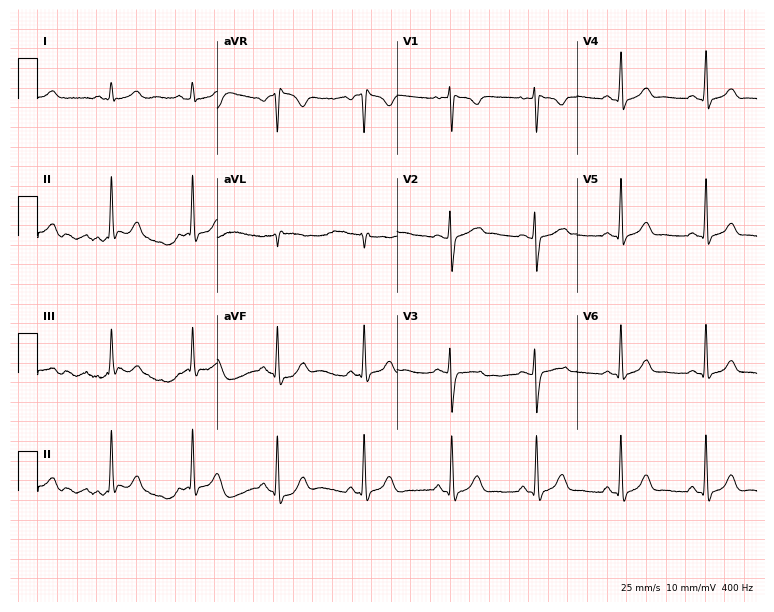
12-lead ECG from a 28-year-old female. Recorded interpretation: within normal limits.